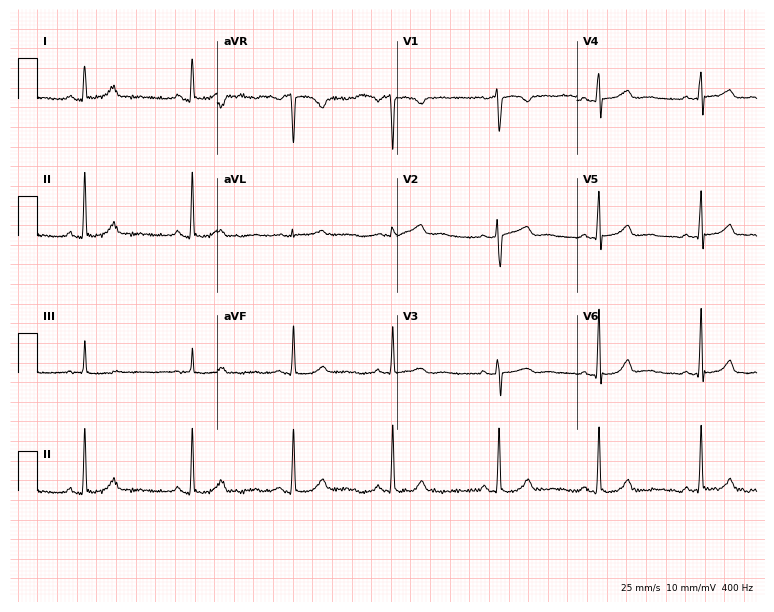
Resting 12-lead electrocardiogram (7.3-second recording at 400 Hz). Patient: a 41-year-old woman. None of these six findings is recorded: first-degree AV block, right bundle branch block, left bundle branch block, sinus bradycardia, atrial fibrillation, sinus tachycardia. Other findings, if any, are not listed.